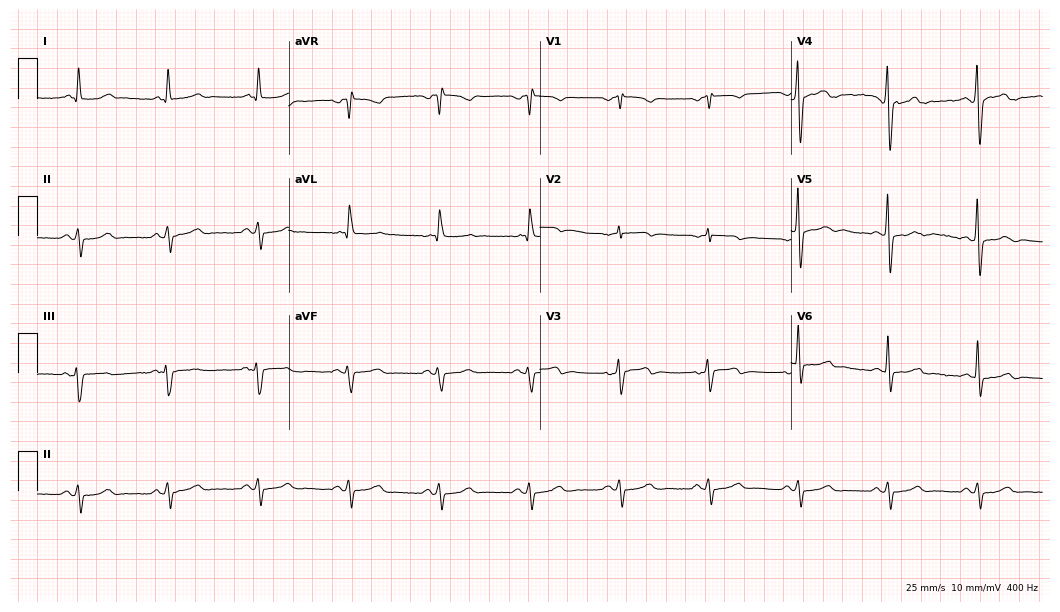
ECG (10.2-second recording at 400 Hz) — a 68-year-old male. Screened for six findings — first-degree AV block, right bundle branch block, left bundle branch block, sinus bradycardia, atrial fibrillation, sinus tachycardia — none is recorded.